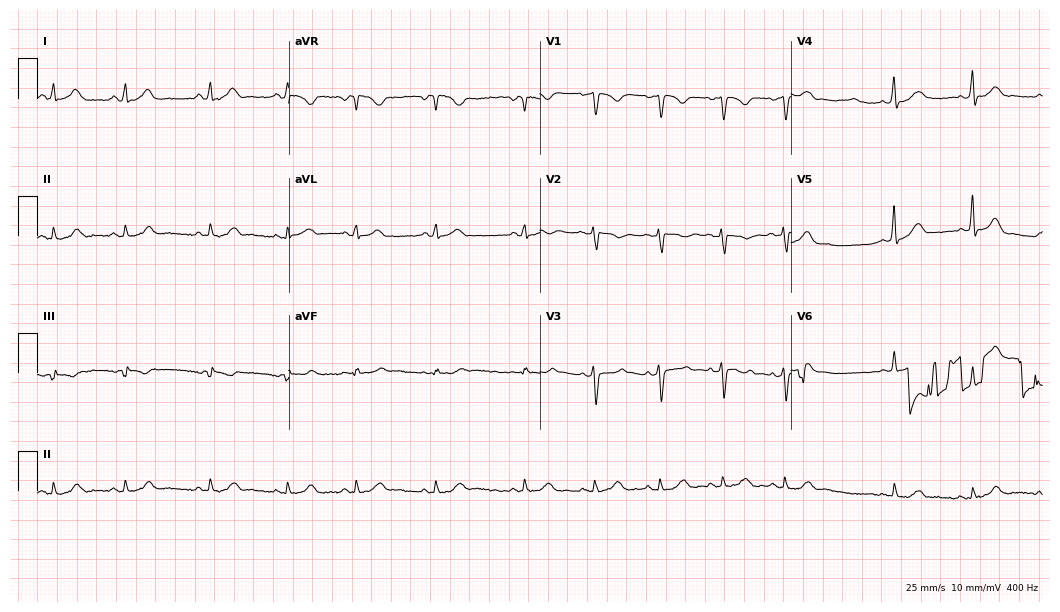
12-lead ECG from a woman, 28 years old (10.2-second recording at 400 Hz). No first-degree AV block, right bundle branch block, left bundle branch block, sinus bradycardia, atrial fibrillation or sinus tachycardia recorded for this tracing. Other findings, if any, are not listed.